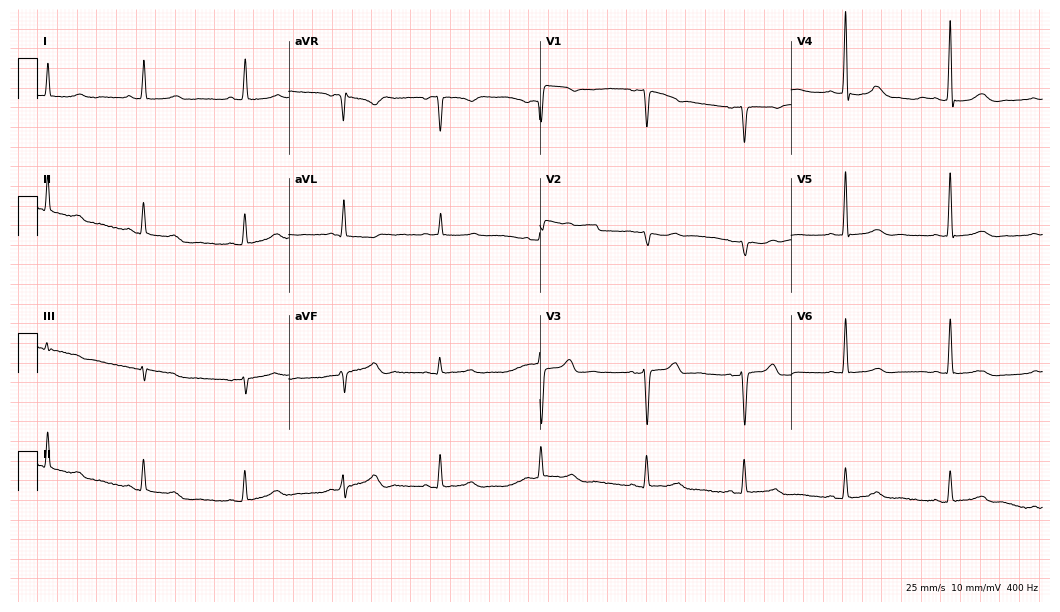
ECG — a female patient, 57 years old. Screened for six findings — first-degree AV block, right bundle branch block (RBBB), left bundle branch block (LBBB), sinus bradycardia, atrial fibrillation (AF), sinus tachycardia — none is recorded. Only these six findings were labelled.